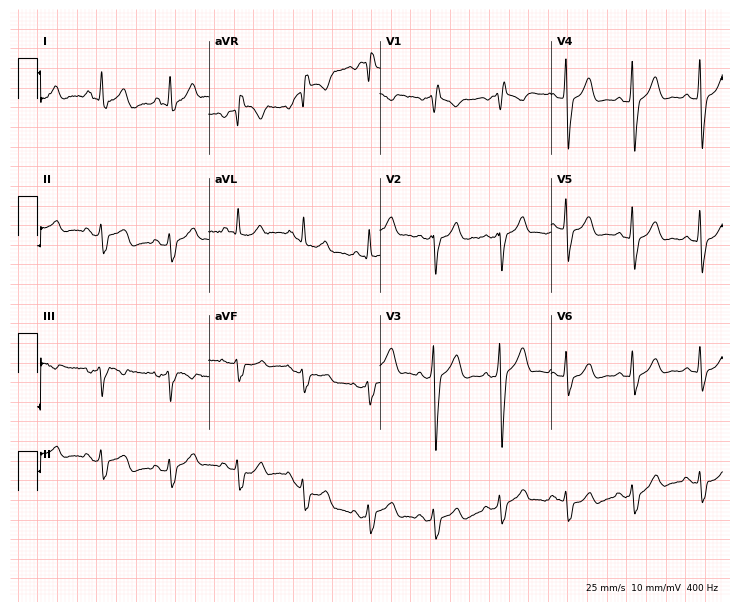
Resting 12-lead electrocardiogram (7-second recording at 400 Hz). Patient: a man, 43 years old. The tracing shows right bundle branch block.